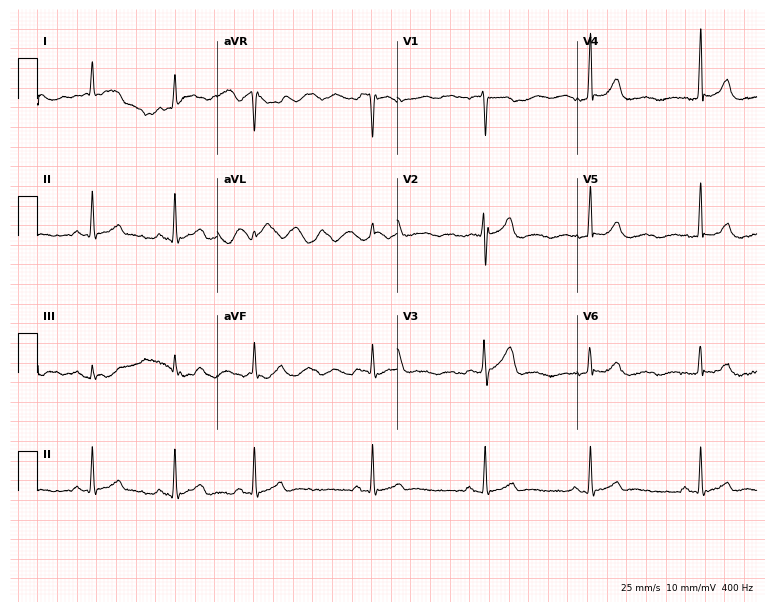
12-lead ECG from a 21-year-old male patient (7.3-second recording at 400 Hz). Recorded interpretation: within normal limits.